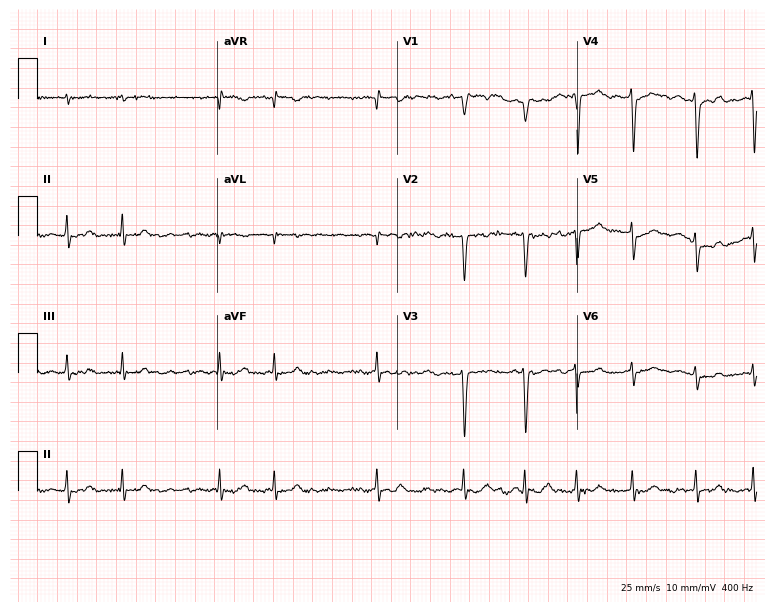
Resting 12-lead electrocardiogram (7.3-second recording at 400 Hz). Patient: a 76-year-old male. The tracing shows atrial fibrillation (AF).